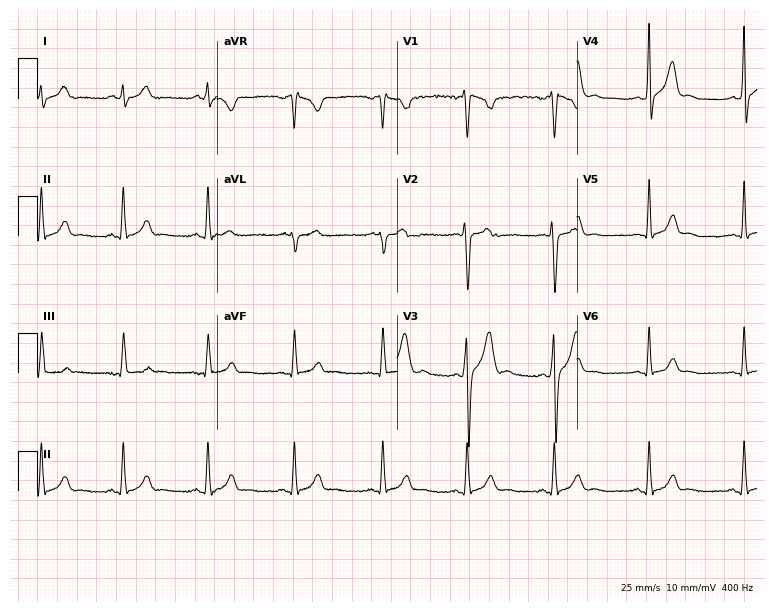
12-lead ECG (7.3-second recording at 400 Hz) from a male patient, 21 years old. Labelled as a normal ECG.